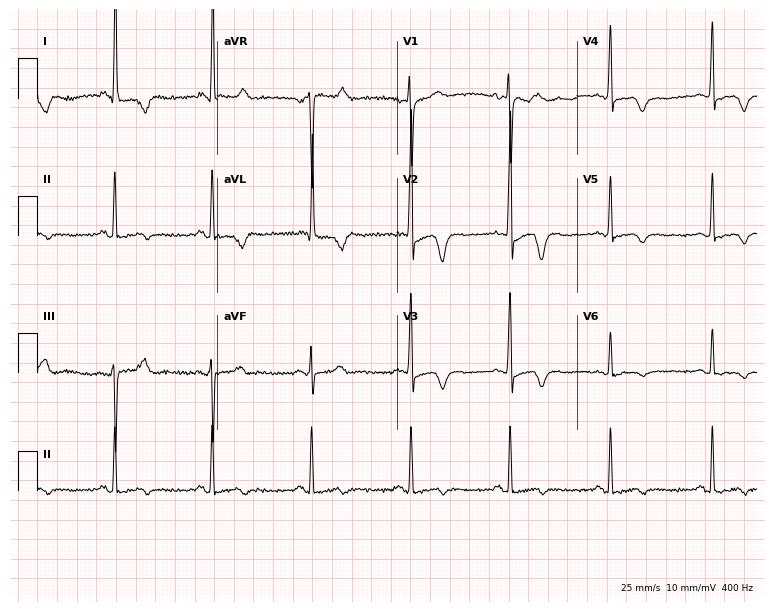
ECG — a 76-year-old female. Screened for six findings — first-degree AV block, right bundle branch block, left bundle branch block, sinus bradycardia, atrial fibrillation, sinus tachycardia — none is recorded.